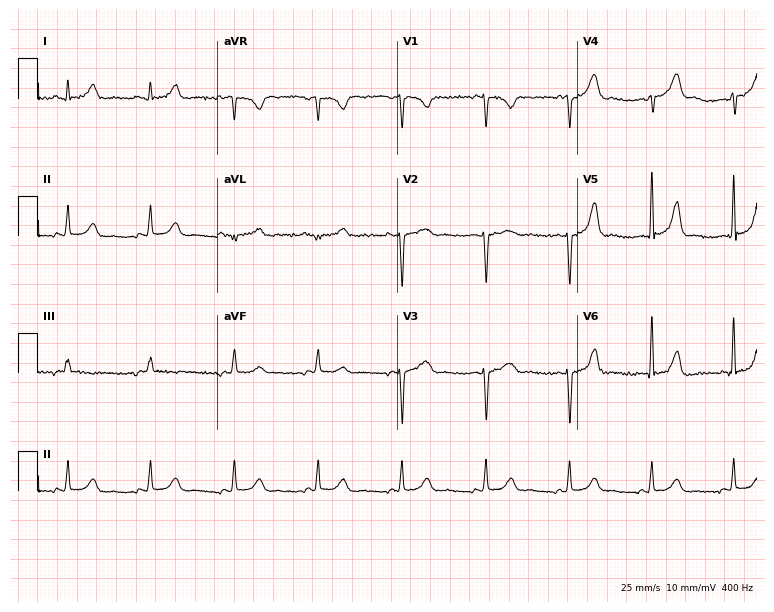
ECG (7.3-second recording at 400 Hz) — a female, 20 years old. Screened for six findings — first-degree AV block, right bundle branch block, left bundle branch block, sinus bradycardia, atrial fibrillation, sinus tachycardia — none is recorded. Findings outside these six are not listed.